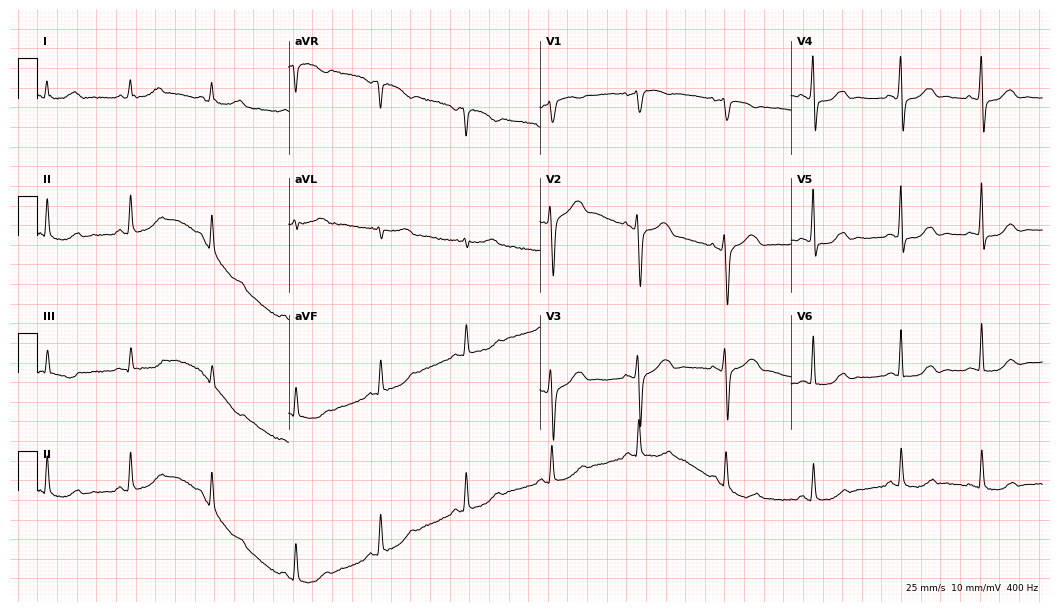
12-lead ECG from a female, 66 years old. Labelled as a normal ECG.